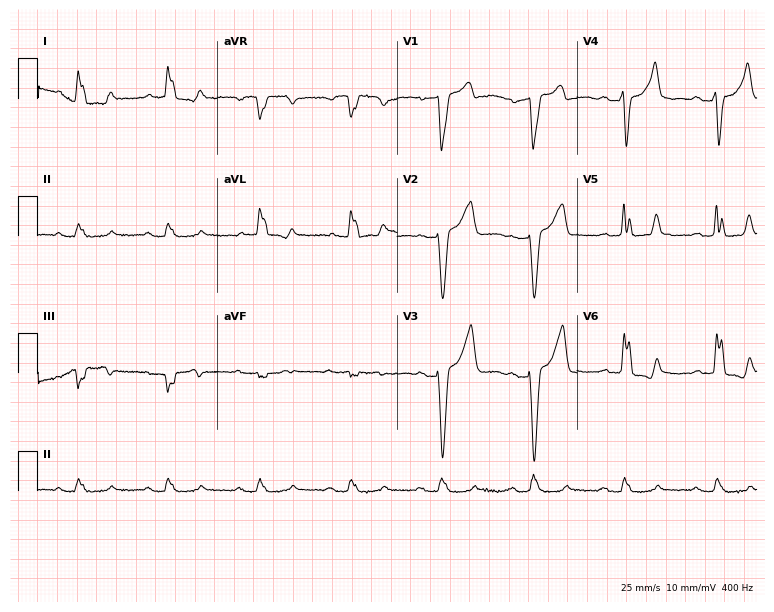
Standard 12-lead ECG recorded from a 78-year-old man (7.3-second recording at 400 Hz). The tracing shows left bundle branch block.